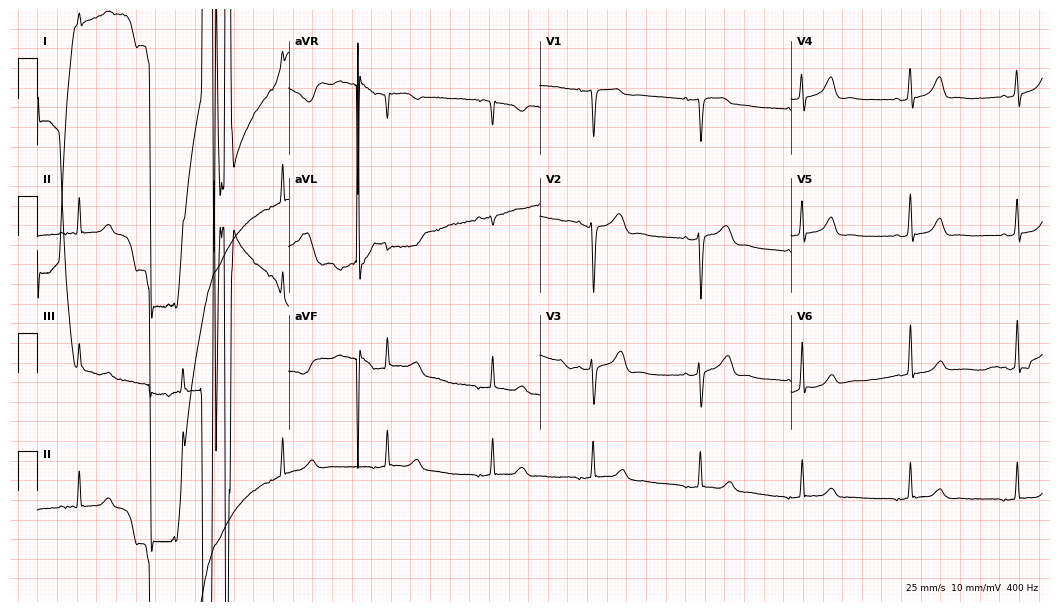
Resting 12-lead electrocardiogram. Patient: a female, 66 years old. None of these six findings is recorded: first-degree AV block, right bundle branch block, left bundle branch block, sinus bradycardia, atrial fibrillation, sinus tachycardia.